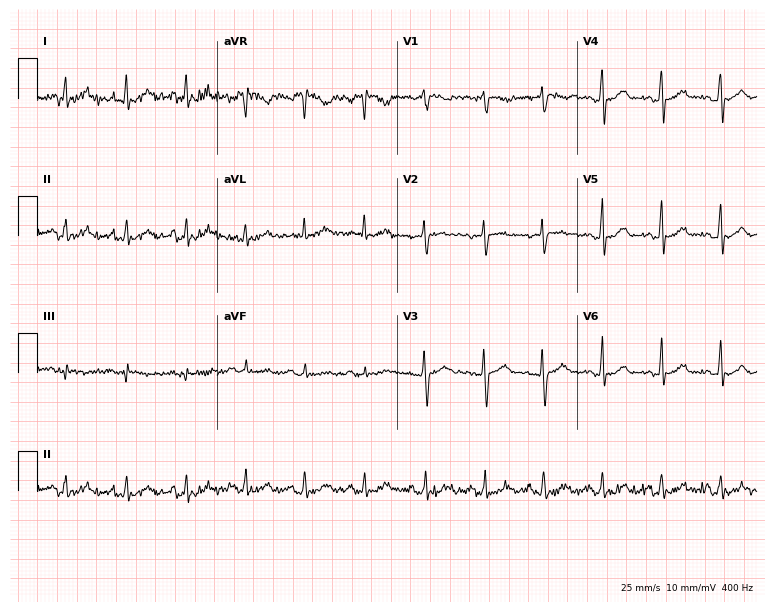
Electrocardiogram (7.3-second recording at 400 Hz), a 26-year-old female patient. Overall reading on record: normal ECG.